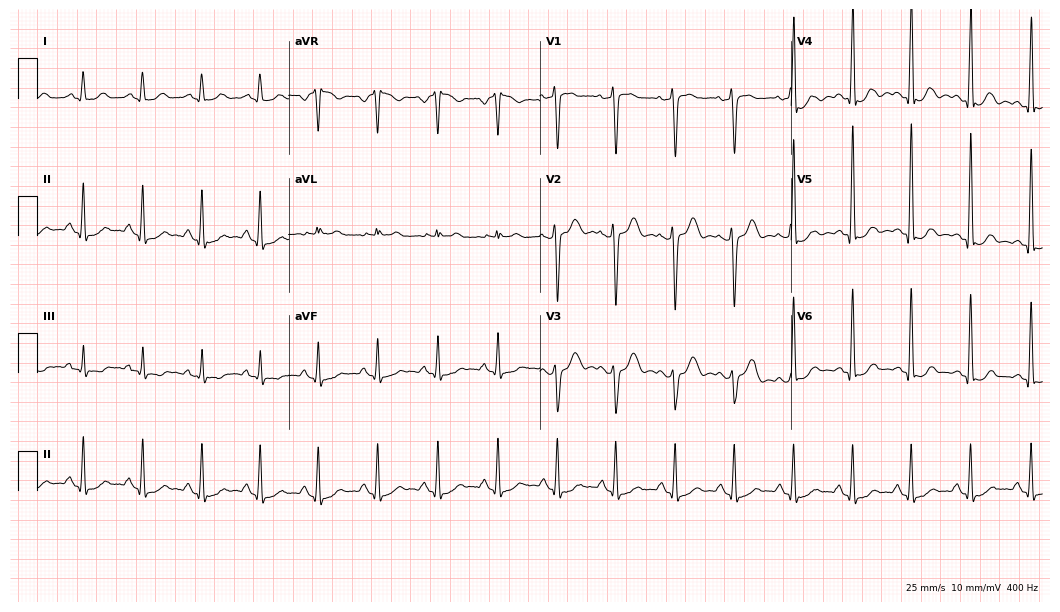
Resting 12-lead electrocardiogram. Patient: a female, 42 years old. None of these six findings is recorded: first-degree AV block, right bundle branch block (RBBB), left bundle branch block (LBBB), sinus bradycardia, atrial fibrillation (AF), sinus tachycardia.